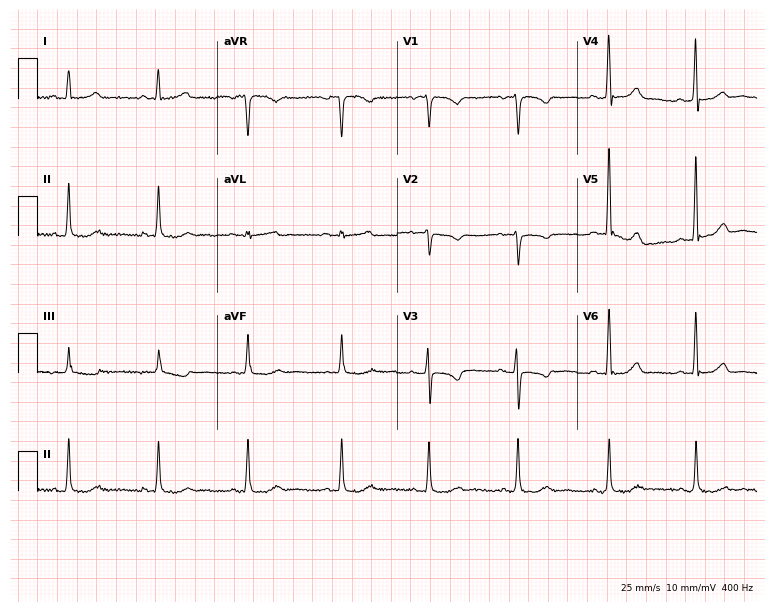
Standard 12-lead ECG recorded from a woman, 64 years old (7.3-second recording at 400 Hz). None of these six findings is recorded: first-degree AV block, right bundle branch block, left bundle branch block, sinus bradycardia, atrial fibrillation, sinus tachycardia.